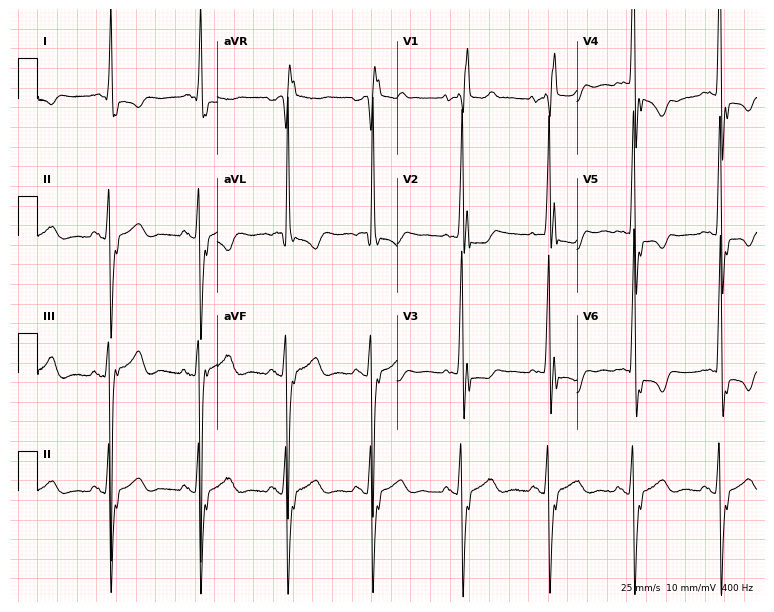
ECG — a female, 77 years old. Screened for six findings — first-degree AV block, right bundle branch block (RBBB), left bundle branch block (LBBB), sinus bradycardia, atrial fibrillation (AF), sinus tachycardia — none is recorded.